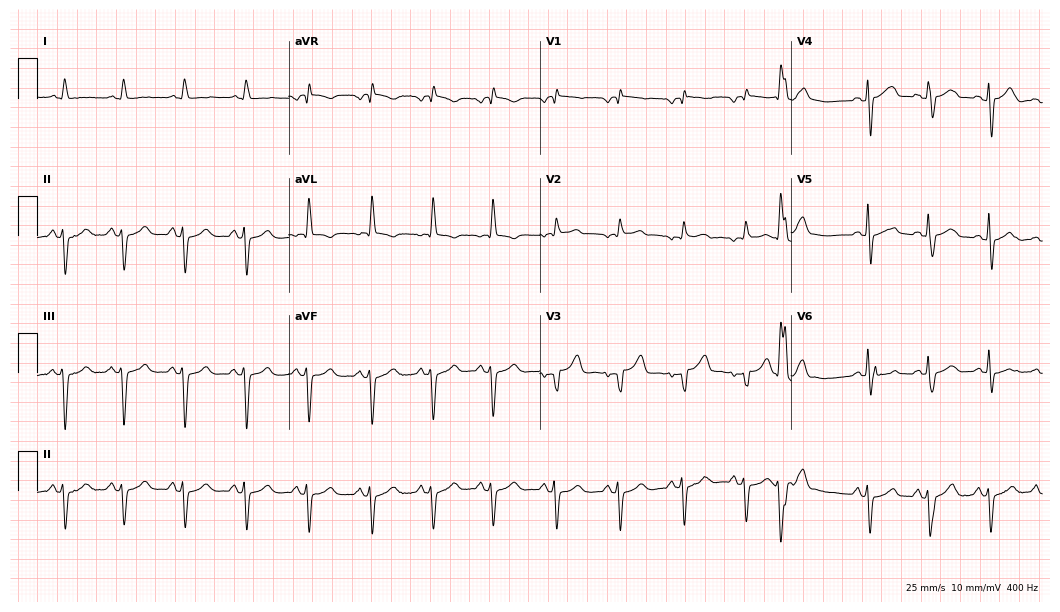
12-lead ECG (10.2-second recording at 400 Hz) from a woman, 79 years old. Screened for six findings — first-degree AV block, right bundle branch block, left bundle branch block, sinus bradycardia, atrial fibrillation, sinus tachycardia — none is recorded. Only these six findings were labelled.